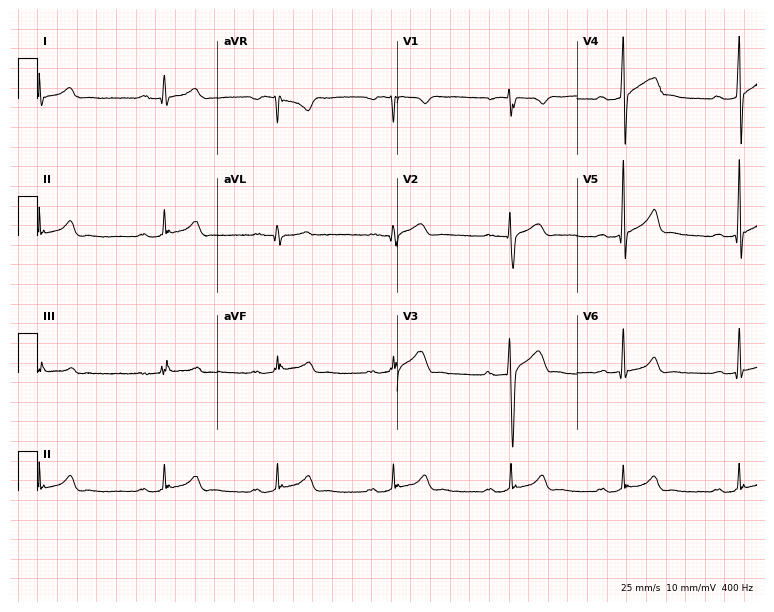
12-lead ECG from a male patient, 21 years old. Findings include first-degree AV block.